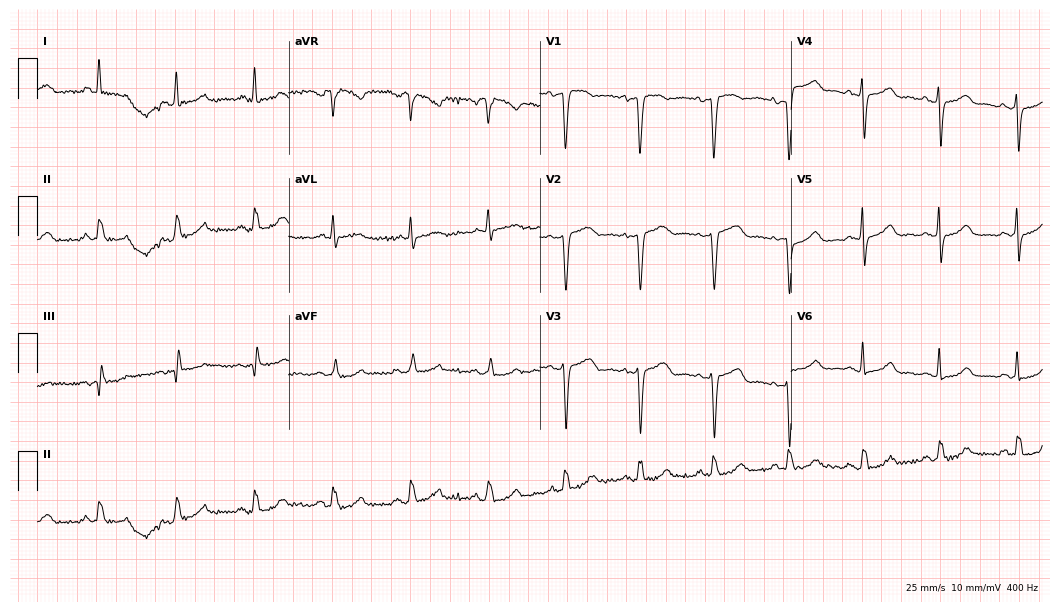
12-lead ECG from a woman, 48 years old (10.2-second recording at 400 Hz). Recorded interpretation: within normal limits.